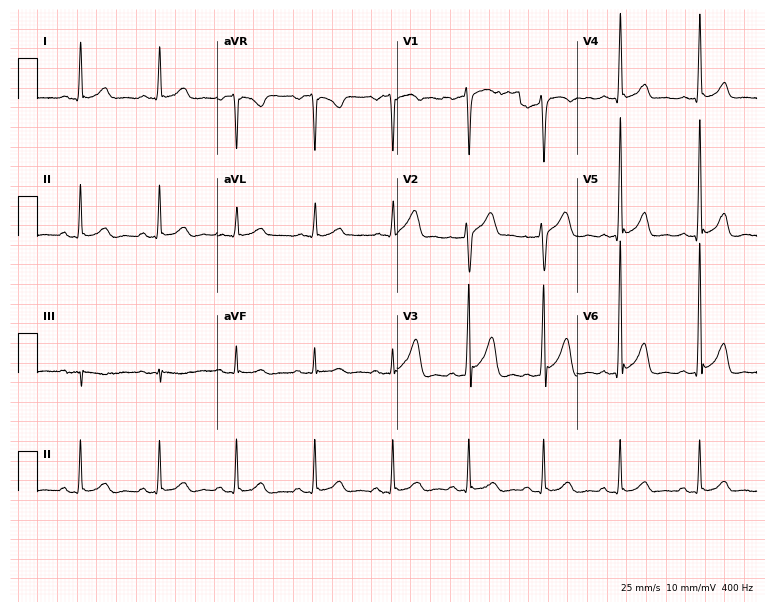
ECG (7.3-second recording at 400 Hz) — a male, 41 years old. Labelled as a normal ECG.